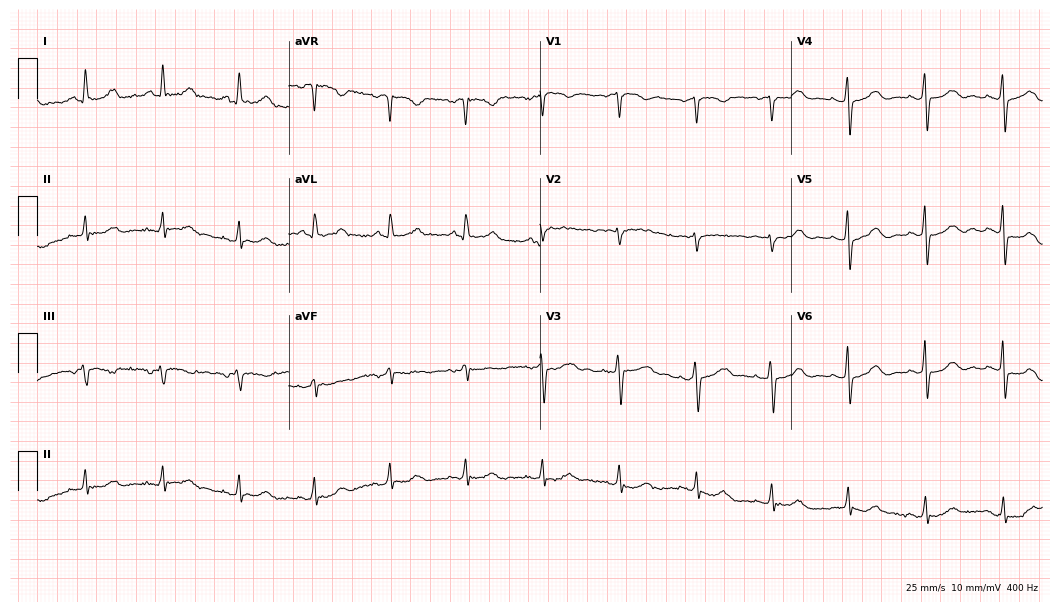
Standard 12-lead ECG recorded from a female, 49 years old (10.2-second recording at 400 Hz). Read as a normal ECG.